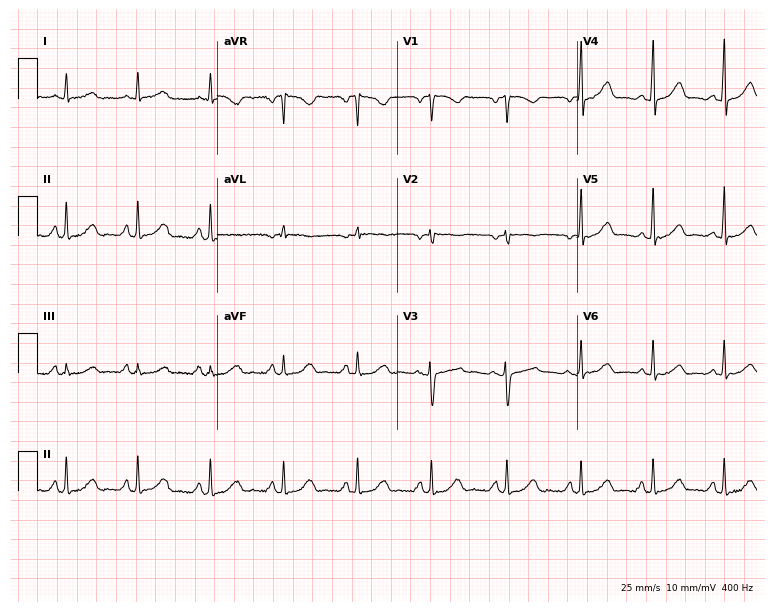
Electrocardiogram, a 44-year-old female. Overall reading on record: normal ECG.